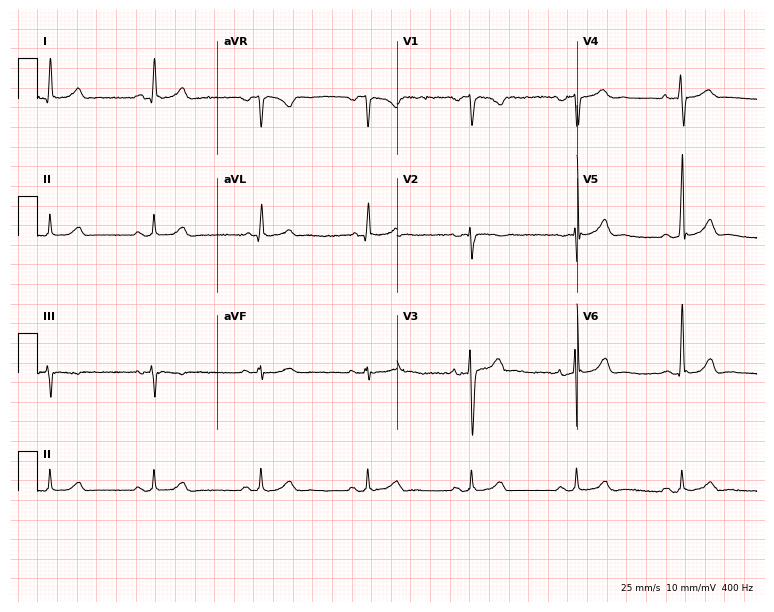
12-lead ECG from a male, 36 years old (7.3-second recording at 400 Hz). Recorded interpretation: within normal limits.